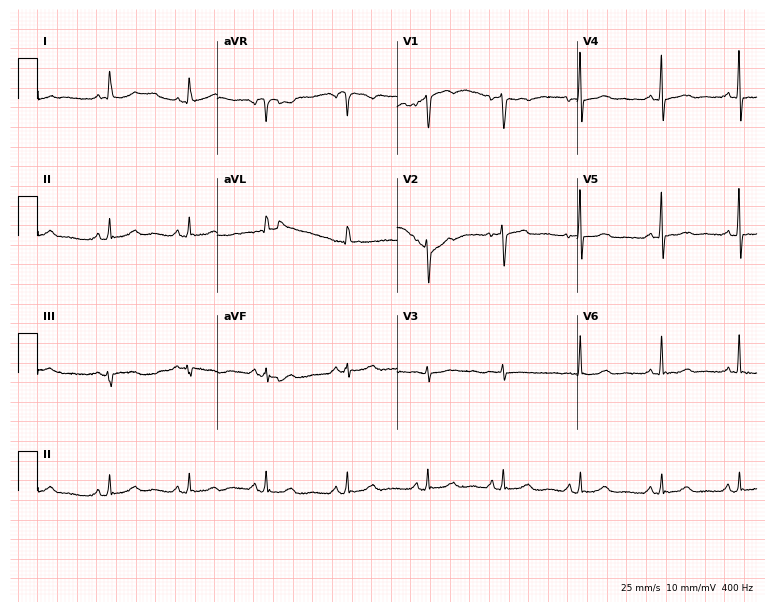
12-lead ECG from a 44-year-old female patient (7.3-second recording at 400 Hz). No first-degree AV block, right bundle branch block, left bundle branch block, sinus bradycardia, atrial fibrillation or sinus tachycardia recorded for this tracing. Other findings, if any, are not listed.